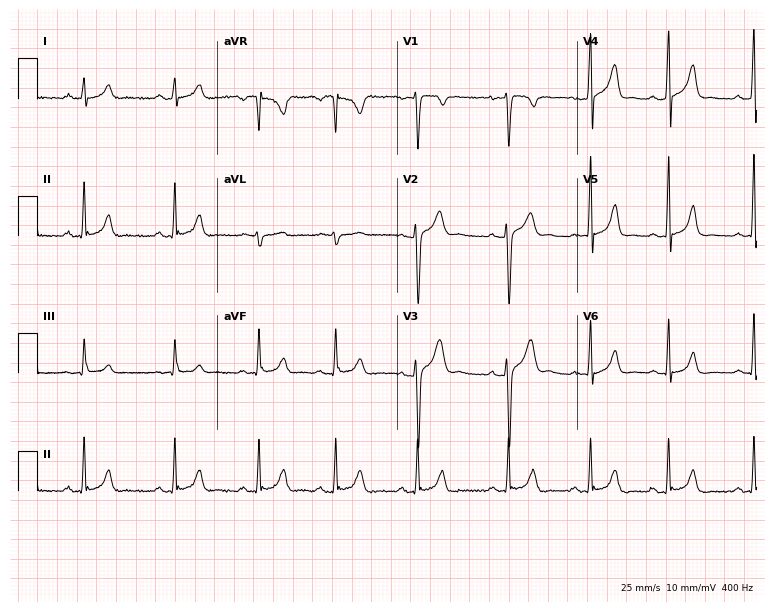
12-lead ECG from a male patient, 18 years old (7.3-second recording at 400 Hz). Recorded interpretation: within normal limits.